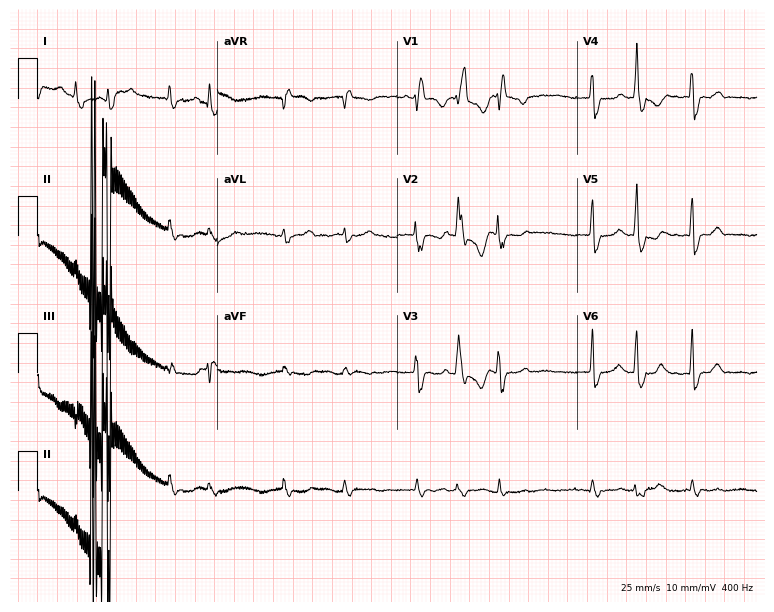
12-lead ECG from a 65-year-old woman. Shows right bundle branch block, atrial fibrillation.